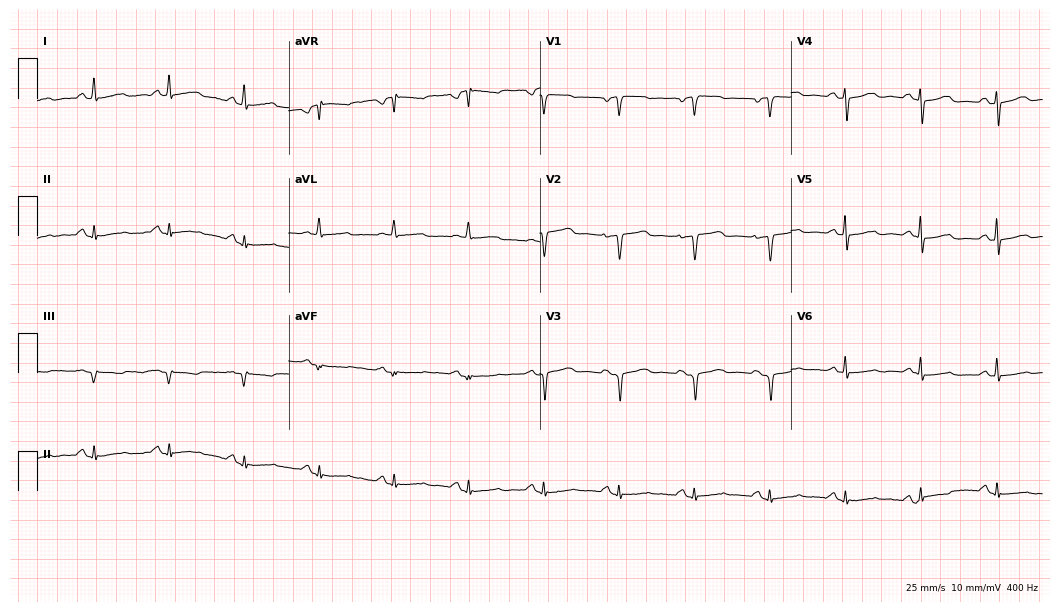
12-lead ECG (10.2-second recording at 400 Hz) from a 72-year-old female patient. Screened for six findings — first-degree AV block, right bundle branch block (RBBB), left bundle branch block (LBBB), sinus bradycardia, atrial fibrillation (AF), sinus tachycardia — none is recorded.